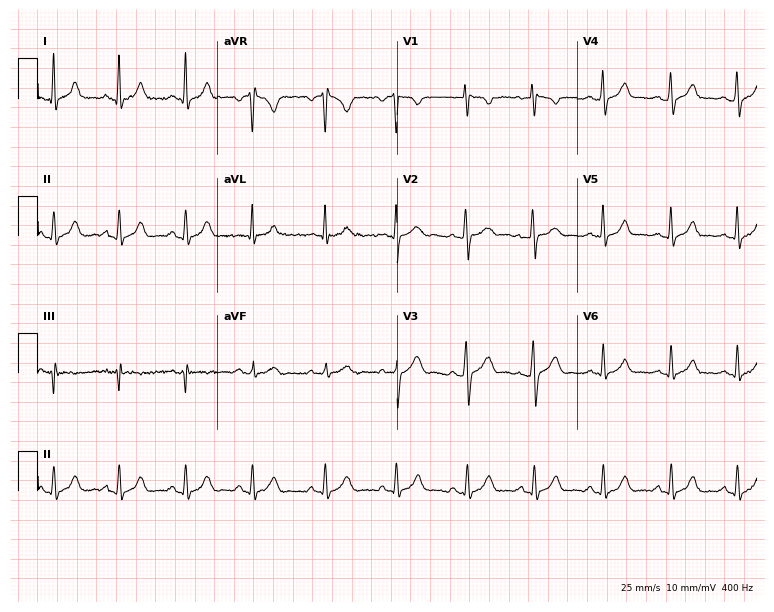
Resting 12-lead electrocardiogram. Patient: a man, 35 years old. Read as a normal ECG.